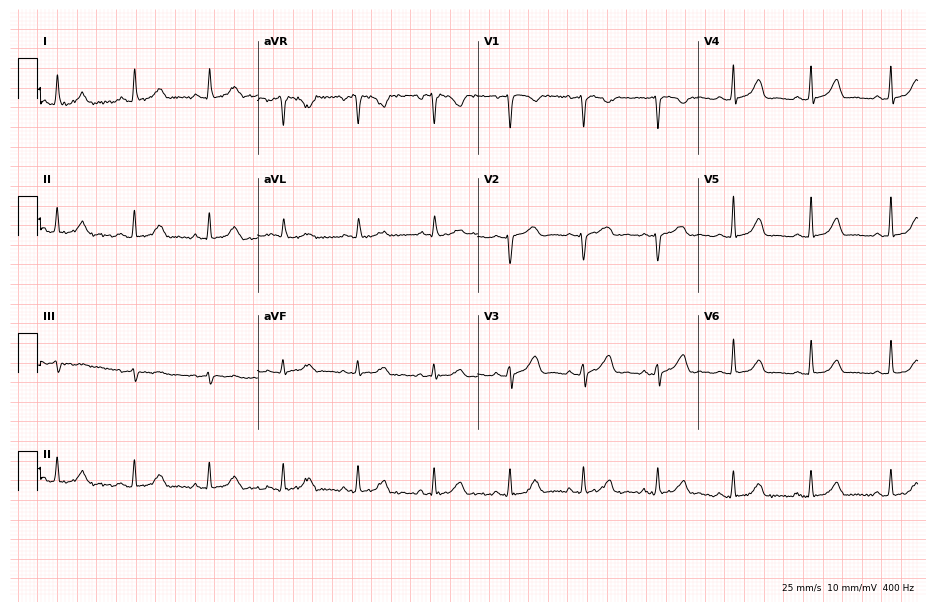
ECG (9-second recording at 400 Hz) — a woman, 43 years old. Screened for six findings — first-degree AV block, right bundle branch block (RBBB), left bundle branch block (LBBB), sinus bradycardia, atrial fibrillation (AF), sinus tachycardia — none is recorded. Other findings, if any, are not listed.